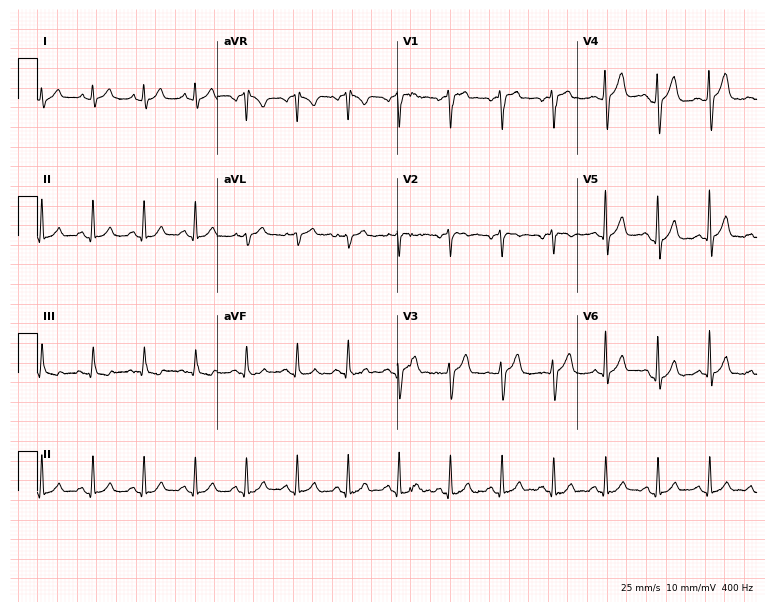
12-lead ECG from a male, 43 years old. Findings include sinus tachycardia (a sinus rate of 100 beats per minute or more).